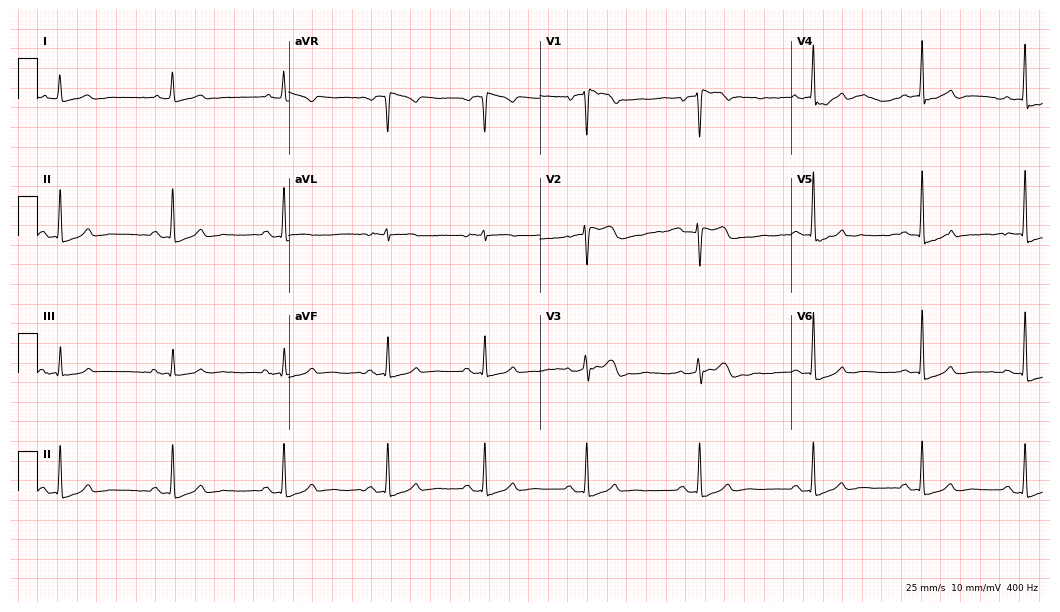
12-lead ECG (10.2-second recording at 400 Hz) from a female, 56 years old. Screened for six findings — first-degree AV block, right bundle branch block (RBBB), left bundle branch block (LBBB), sinus bradycardia, atrial fibrillation (AF), sinus tachycardia — none is recorded. Only these six findings were labelled.